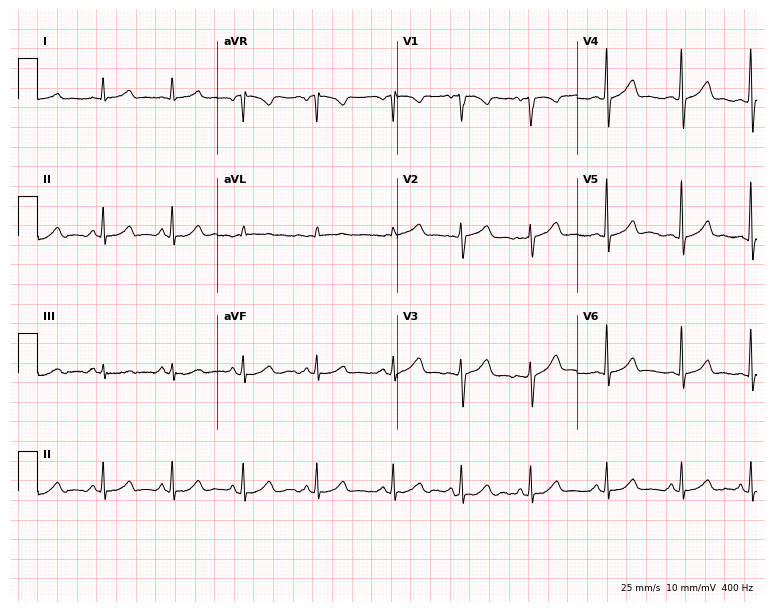
12-lead ECG from a 24-year-old female. Recorded interpretation: within normal limits.